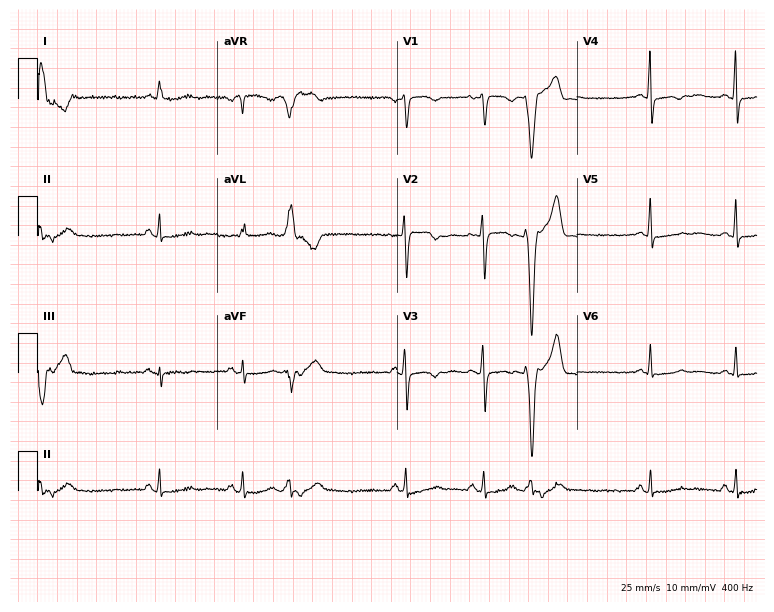
Standard 12-lead ECG recorded from a 36-year-old female (7.3-second recording at 400 Hz). None of these six findings is recorded: first-degree AV block, right bundle branch block (RBBB), left bundle branch block (LBBB), sinus bradycardia, atrial fibrillation (AF), sinus tachycardia. Findings outside these six are not listed.